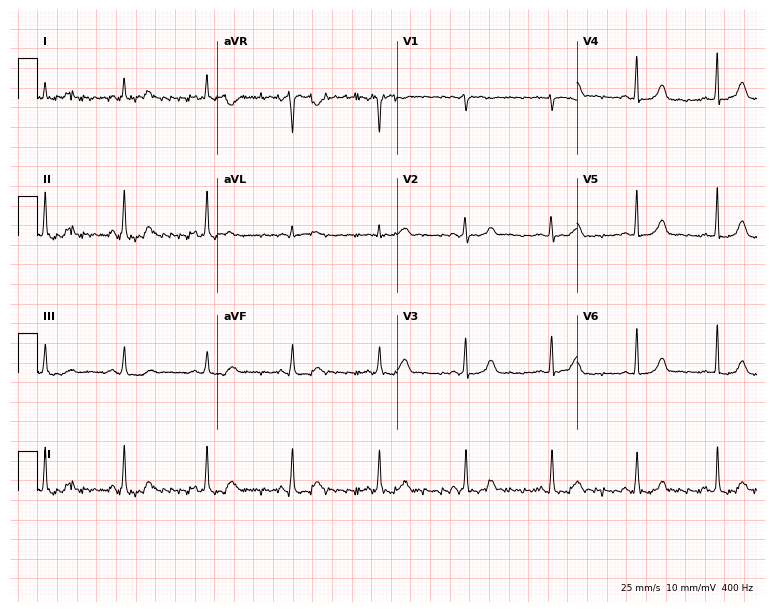
Electrocardiogram (7.3-second recording at 400 Hz), a female, 37 years old. Overall reading on record: normal ECG.